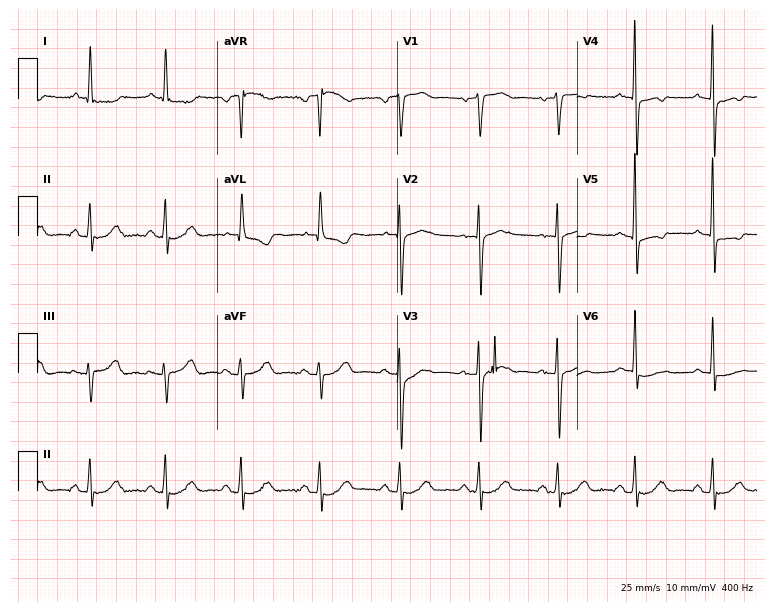
Standard 12-lead ECG recorded from a 72-year-old woman. None of these six findings is recorded: first-degree AV block, right bundle branch block (RBBB), left bundle branch block (LBBB), sinus bradycardia, atrial fibrillation (AF), sinus tachycardia. Findings outside these six are not listed.